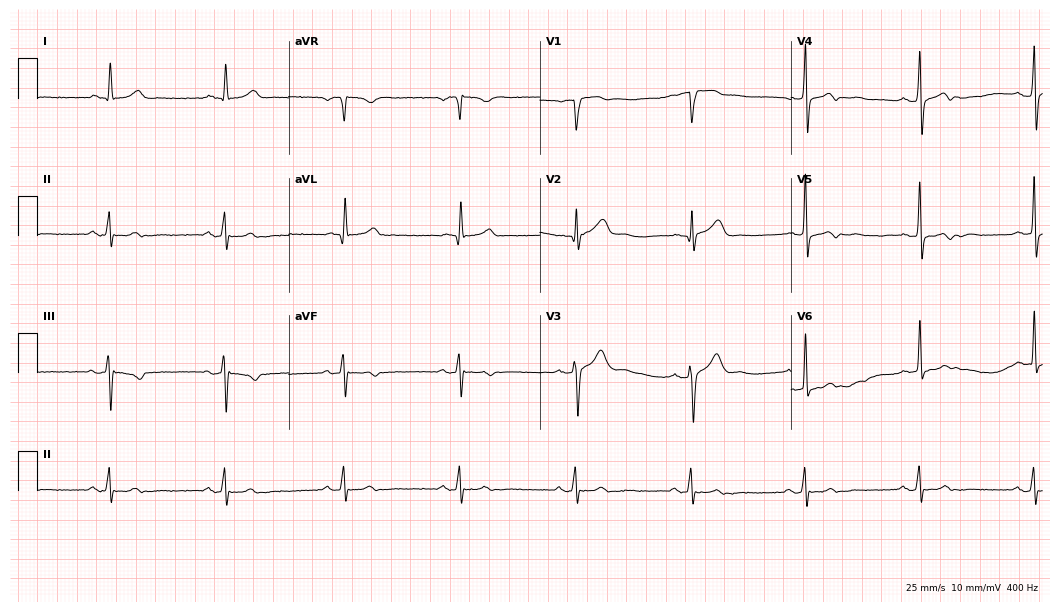
Standard 12-lead ECG recorded from a 61-year-old man. The tracing shows sinus bradycardia (a sinus rate of 50 beats per minute or less).